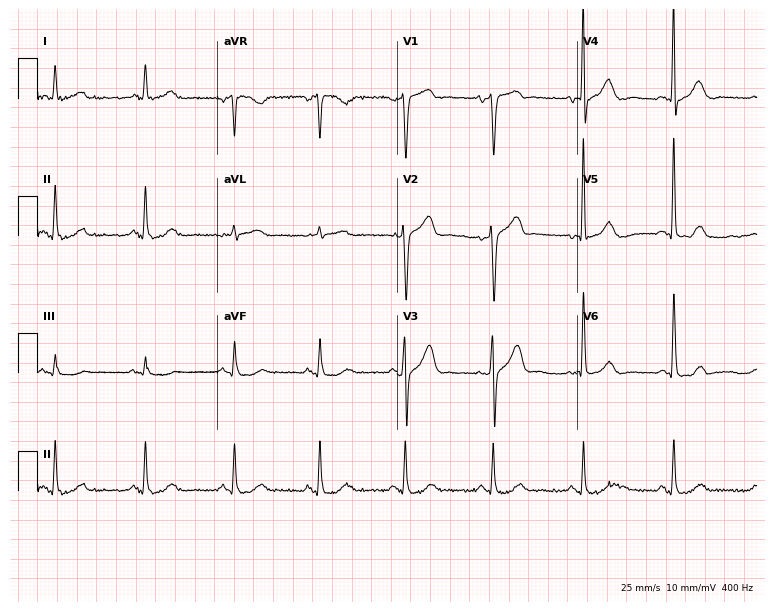
Resting 12-lead electrocardiogram. Patient: a 65-year-old woman. Read as a normal ECG.